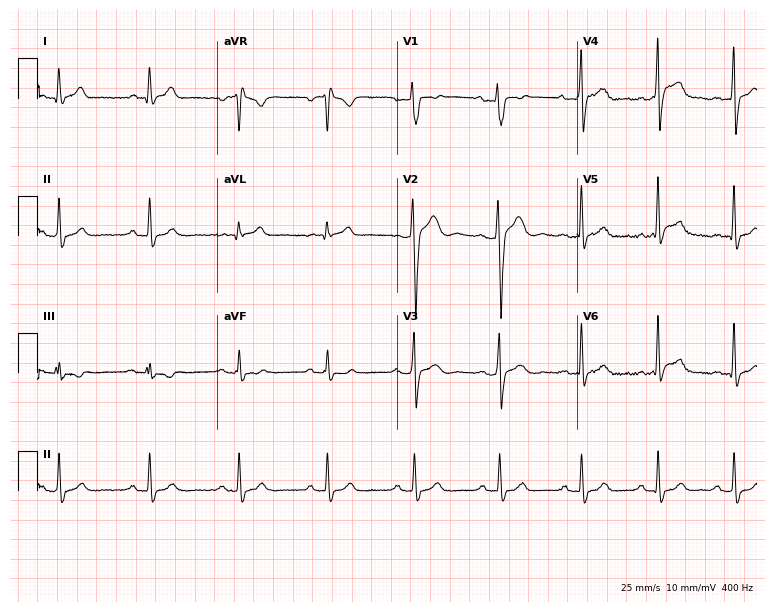
Standard 12-lead ECG recorded from a male patient, 29 years old (7.3-second recording at 400 Hz). None of these six findings is recorded: first-degree AV block, right bundle branch block (RBBB), left bundle branch block (LBBB), sinus bradycardia, atrial fibrillation (AF), sinus tachycardia.